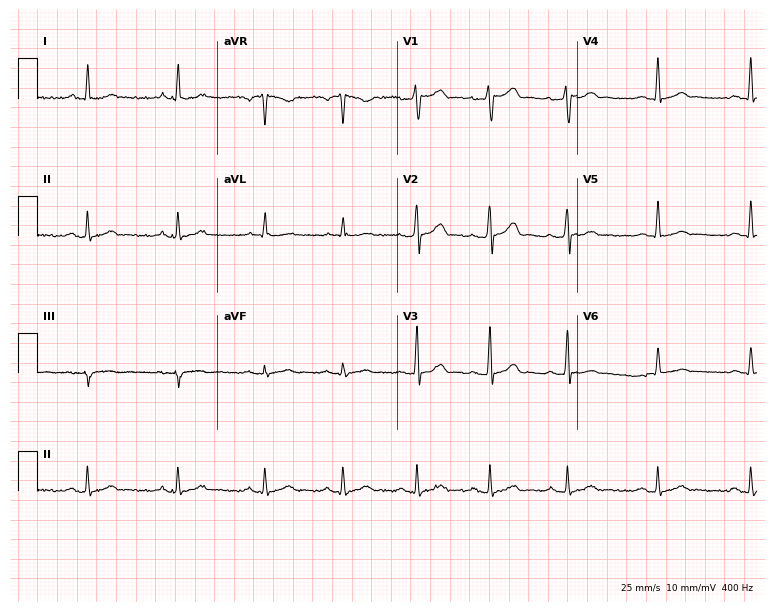
12-lead ECG from a man, 40 years old. Recorded interpretation: within normal limits.